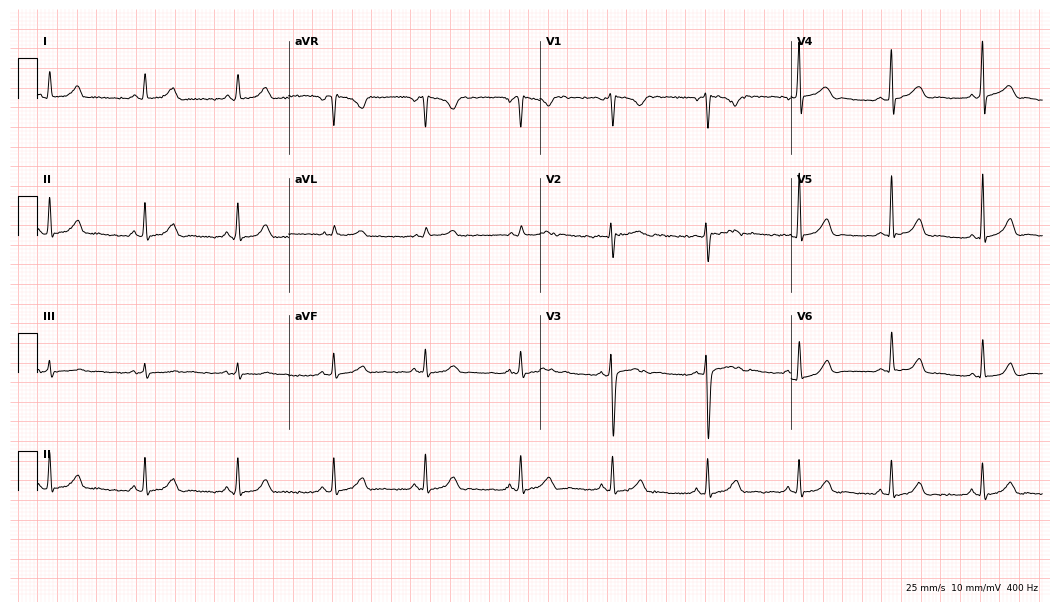
12-lead ECG from a woman, 36 years old. No first-degree AV block, right bundle branch block, left bundle branch block, sinus bradycardia, atrial fibrillation or sinus tachycardia recorded for this tracing.